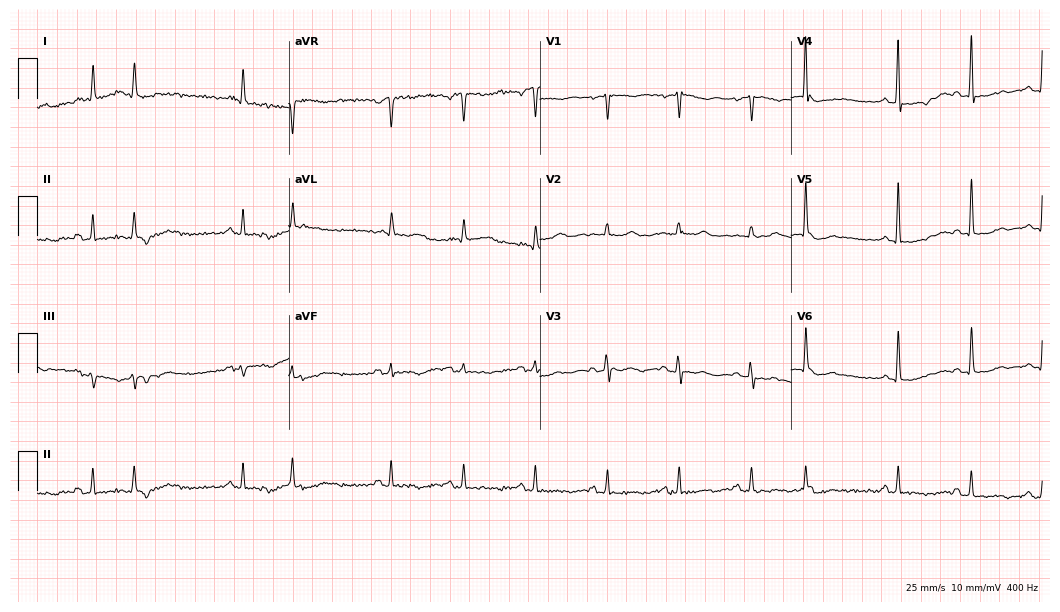
12-lead ECG from a 62-year-old female patient. No first-degree AV block, right bundle branch block, left bundle branch block, sinus bradycardia, atrial fibrillation or sinus tachycardia recorded for this tracing. Other findings, if any, are not listed.